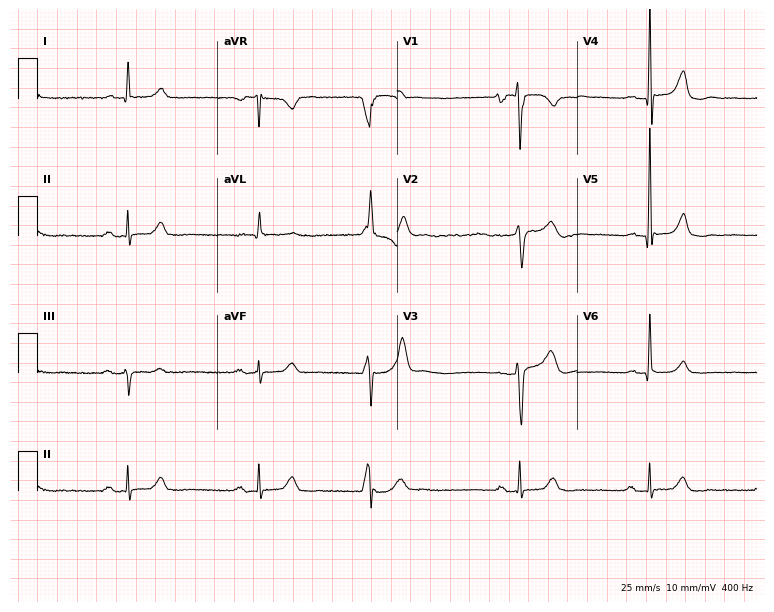
Standard 12-lead ECG recorded from an 81-year-old male (7.3-second recording at 400 Hz). The tracing shows first-degree AV block, sinus bradycardia (a sinus rate of 50 beats per minute or less).